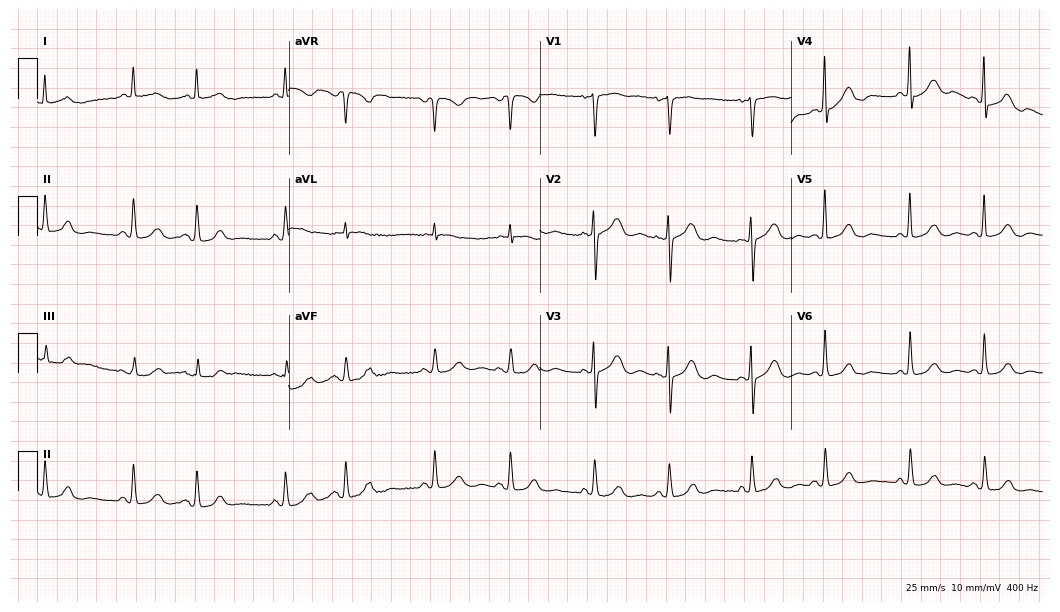
Electrocardiogram, a 79-year-old woman. Overall reading on record: normal ECG.